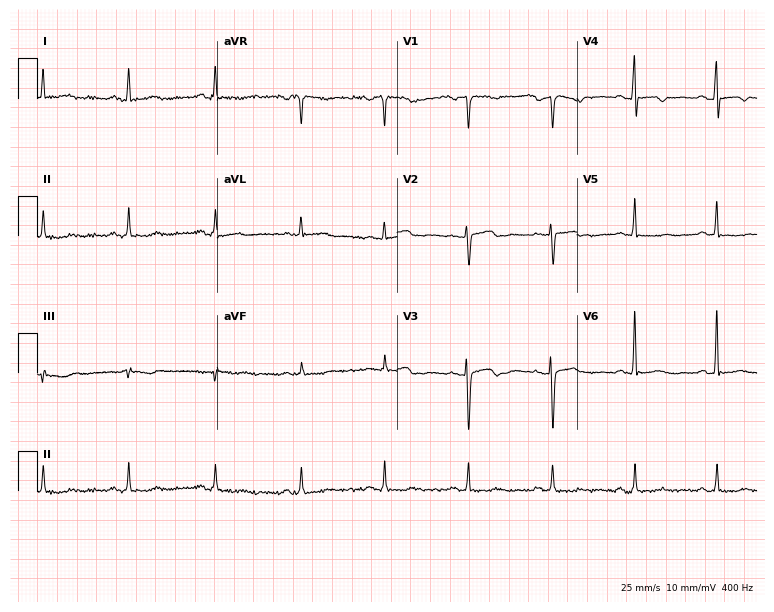
Standard 12-lead ECG recorded from a 58-year-old female. None of these six findings is recorded: first-degree AV block, right bundle branch block, left bundle branch block, sinus bradycardia, atrial fibrillation, sinus tachycardia. Findings outside these six are not listed.